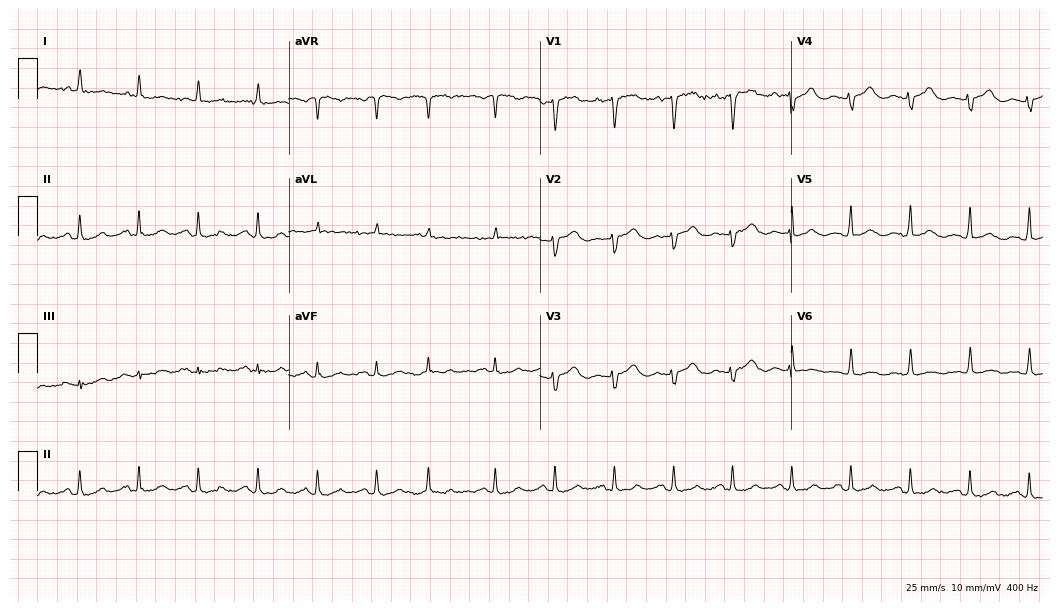
Resting 12-lead electrocardiogram (10.2-second recording at 400 Hz). Patient: a male, 75 years old. None of these six findings is recorded: first-degree AV block, right bundle branch block (RBBB), left bundle branch block (LBBB), sinus bradycardia, atrial fibrillation (AF), sinus tachycardia. Other findings, if any, are not listed.